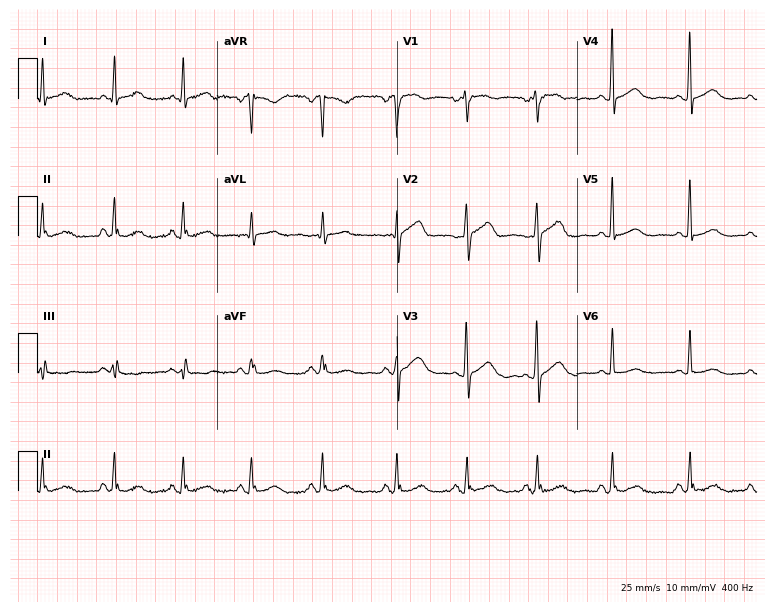
12-lead ECG (7.3-second recording at 400 Hz) from a 53-year-old female patient. Screened for six findings — first-degree AV block, right bundle branch block, left bundle branch block, sinus bradycardia, atrial fibrillation, sinus tachycardia — none is recorded. Other findings, if any, are not listed.